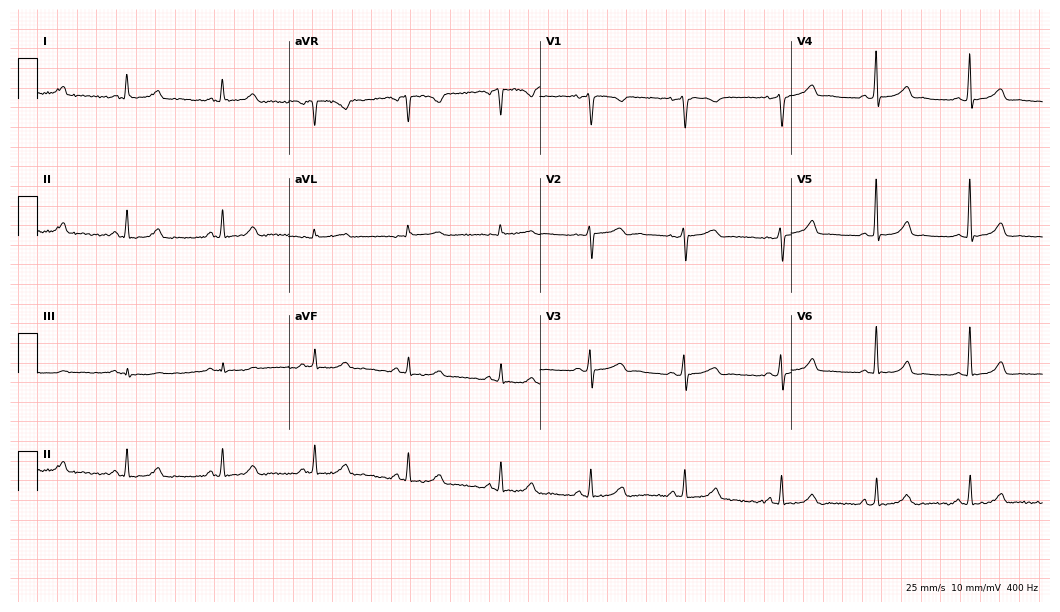
ECG — a woman, 39 years old. Labelled as a normal ECG.